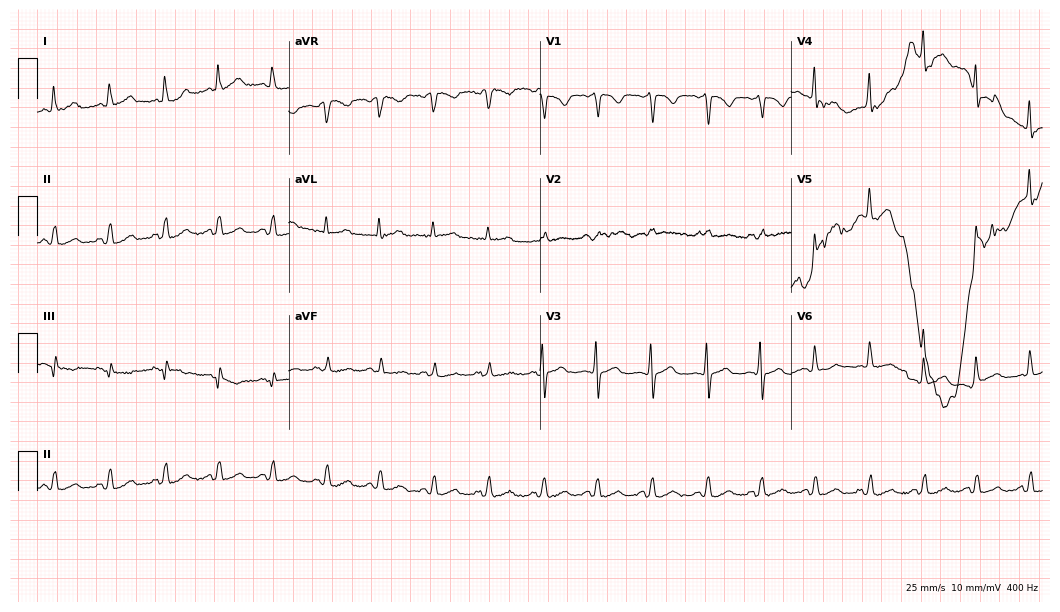
Resting 12-lead electrocardiogram. Patient: a female, 56 years old. None of these six findings is recorded: first-degree AV block, right bundle branch block (RBBB), left bundle branch block (LBBB), sinus bradycardia, atrial fibrillation (AF), sinus tachycardia. Only these six findings were labelled.